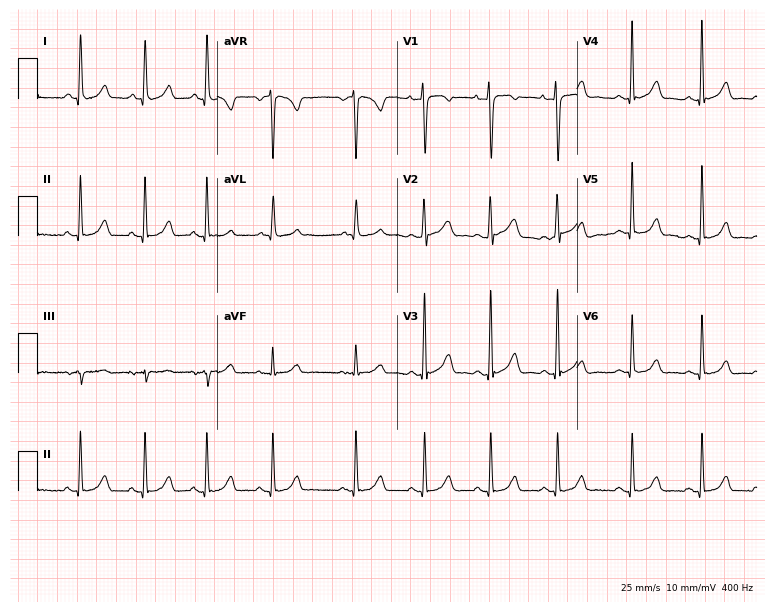
12-lead ECG from a woman, 35 years old. No first-degree AV block, right bundle branch block, left bundle branch block, sinus bradycardia, atrial fibrillation or sinus tachycardia recorded for this tracing. Only these six findings were labelled.